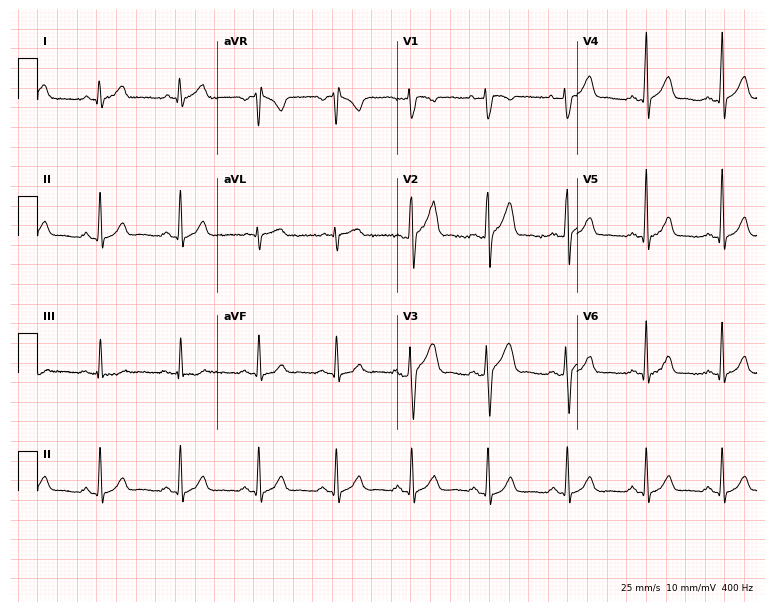
12-lead ECG from a 24-year-old man. Labelled as a normal ECG.